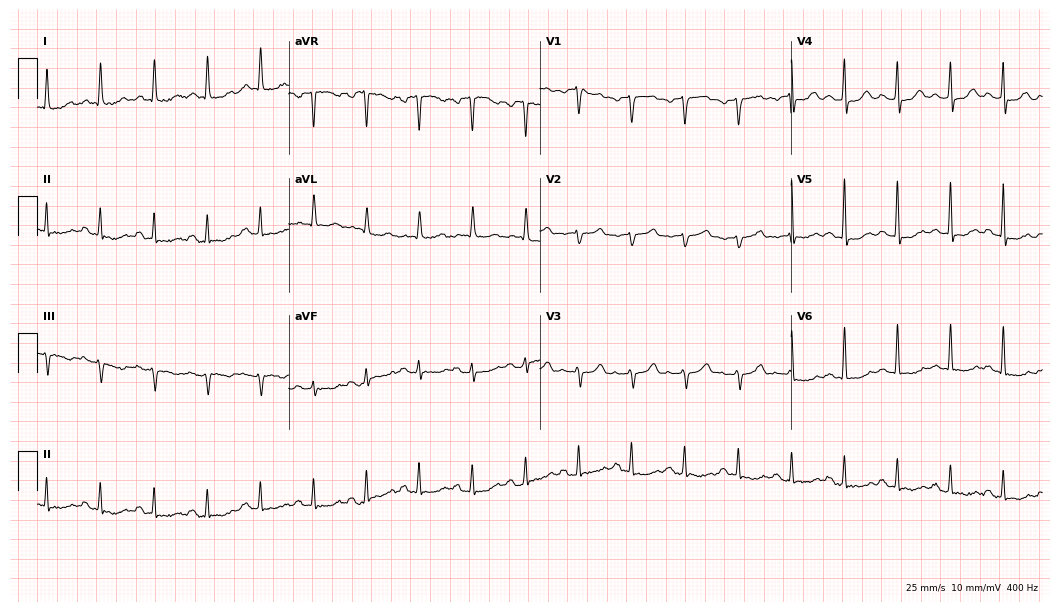
12-lead ECG from a woman, 70 years old. Shows sinus tachycardia (a sinus rate of 100 beats per minute or more).